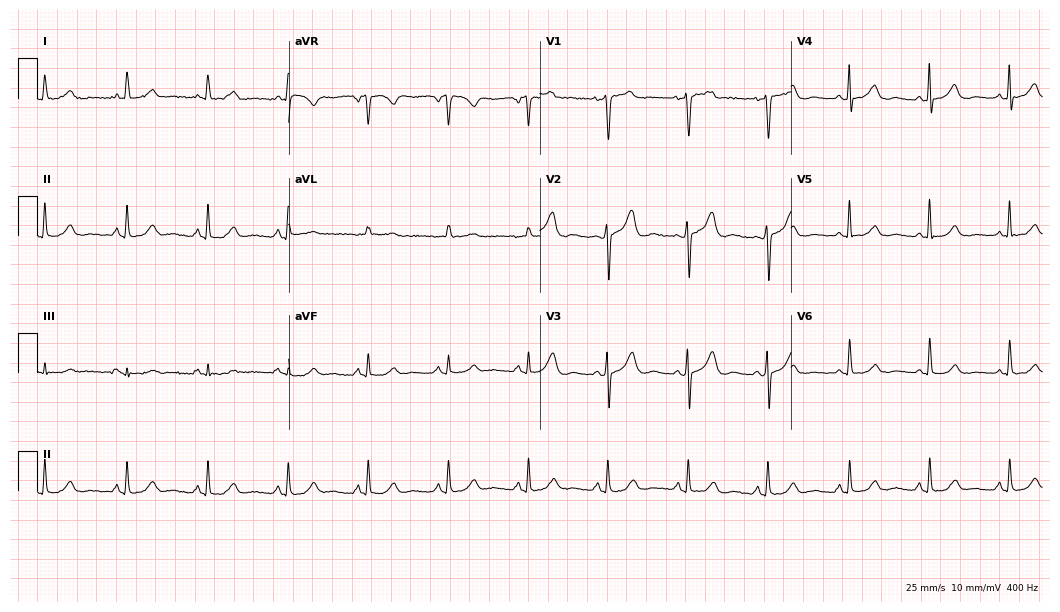
Resting 12-lead electrocardiogram. Patient: a female, 39 years old. None of these six findings is recorded: first-degree AV block, right bundle branch block, left bundle branch block, sinus bradycardia, atrial fibrillation, sinus tachycardia. Only these six findings were labelled.